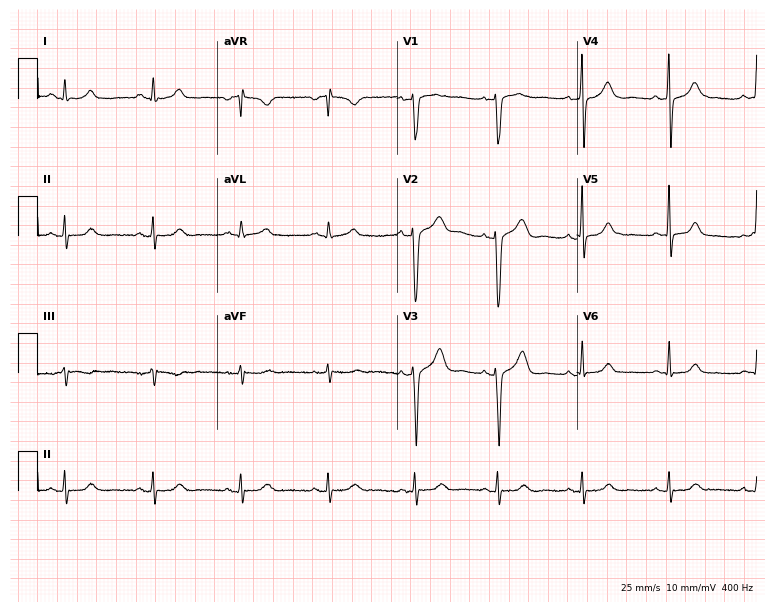
Electrocardiogram, a woman, 36 years old. Of the six screened findings (first-degree AV block, right bundle branch block, left bundle branch block, sinus bradycardia, atrial fibrillation, sinus tachycardia), none is recorded.